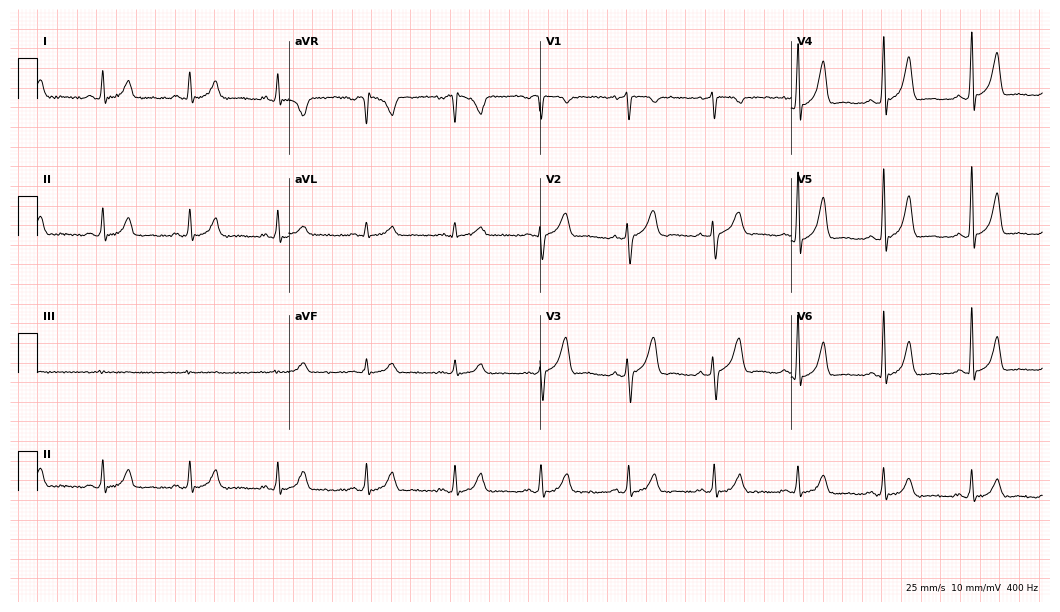
12-lead ECG (10.2-second recording at 400 Hz) from a male patient, 36 years old. Screened for six findings — first-degree AV block, right bundle branch block, left bundle branch block, sinus bradycardia, atrial fibrillation, sinus tachycardia — none is recorded. Only these six findings were labelled.